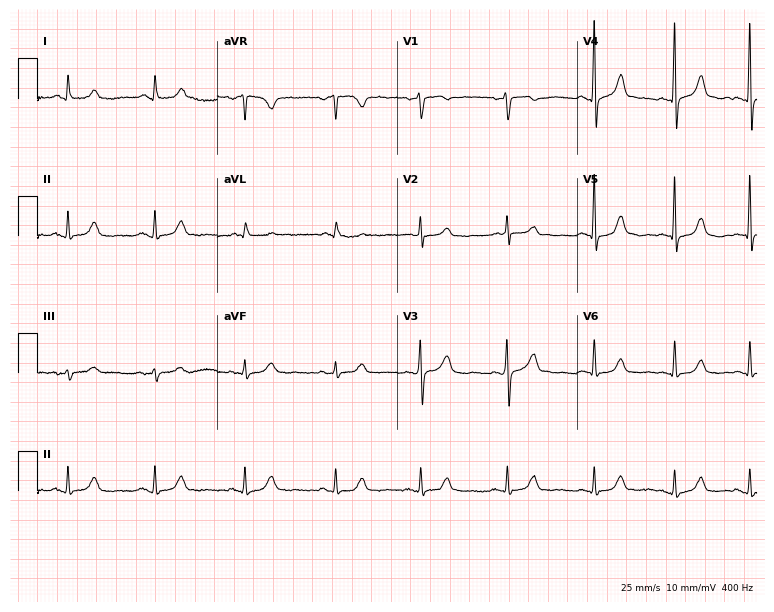
Standard 12-lead ECG recorded from a woman, 58 years old (7.3-second recording at 400 Hz). Read as a normal ECG.